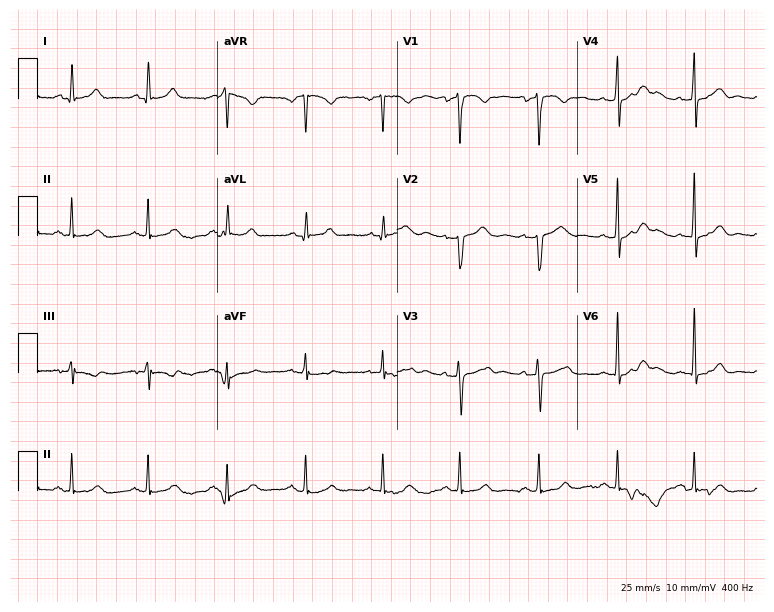
Standard 12-lead ECG recorded from a 33-year-old female patient (7.3-second recording at 400 Hz). Read as a normal ECG.